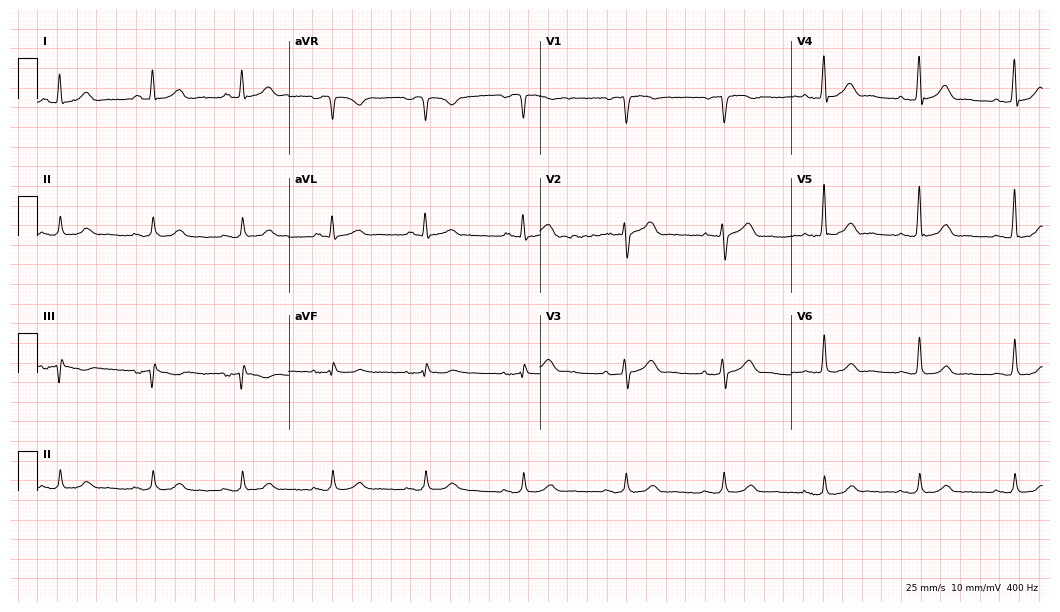
12-lead ECG (10.2-second recording at 400 Hz) from a 45-year-old male patient. Labelled as a normal ECG.